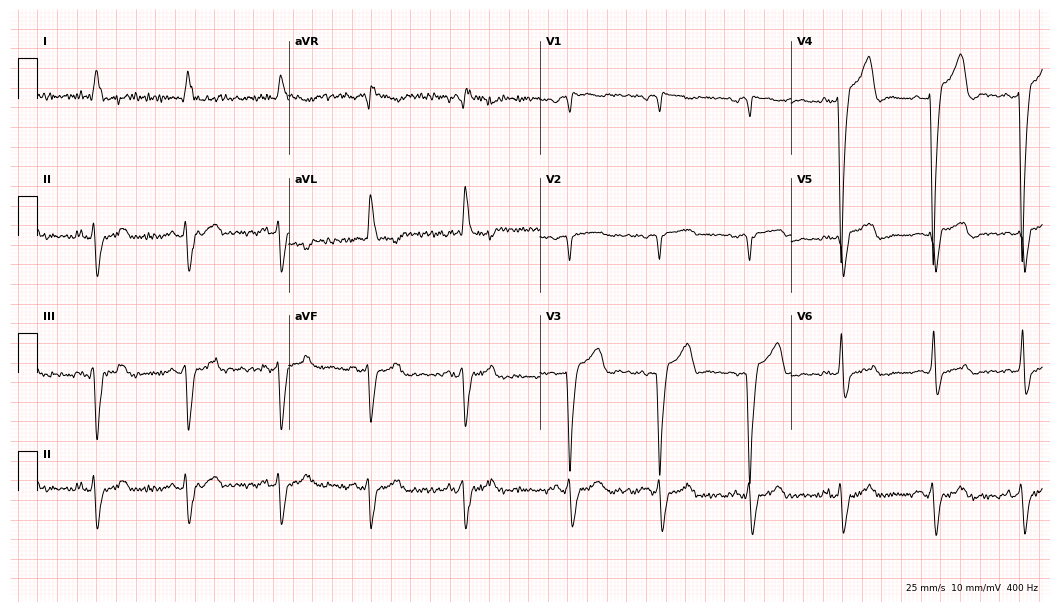
12-lead ECG from a male patient, 77 years old (10.2-second recording at 400 Hz). No first-degree AV block, right bundle branch block (RBBB), left bundle branch block (LBBB), sinus bradycardia, atrial fibrillation (AF) or sinus tachycardia recorded for this tracing. Findings outside these six are not listed.